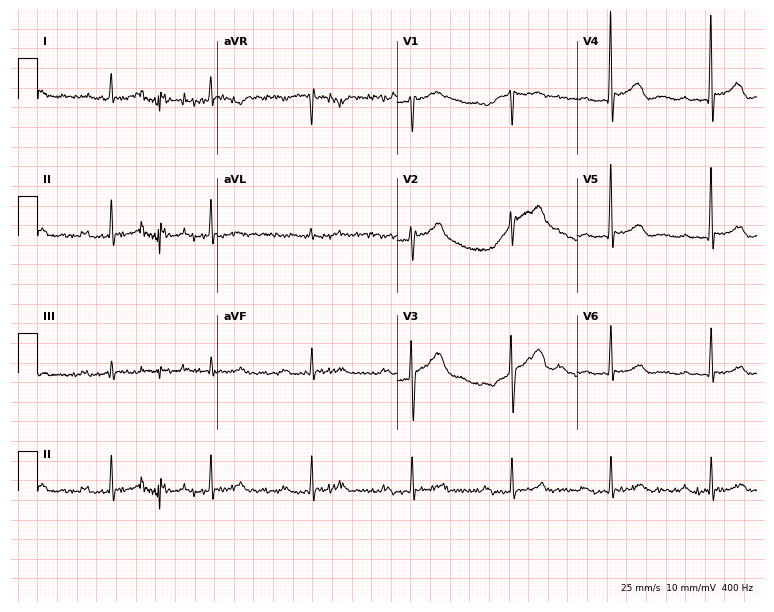
Resting 12-lead electrocardiogram (7.3-second recording at 400 Hz). Patient: a man, 72 years old. The tracing shows first-degree AV block.